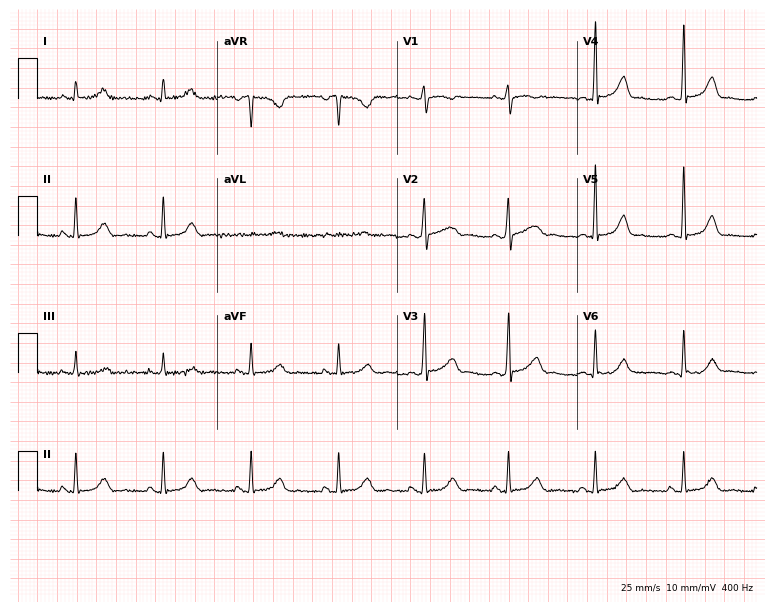
Electrocardiogram (7.3-second recording at 400 Hz), a 38-year-old female. Of the six screened findings (first-degree AV block, right bundle branch block, left bundle branch block, sinus bradycardia, atrial fibrillation, sinus tachycardia), none is recorded. Other findings, if any, are not listed.